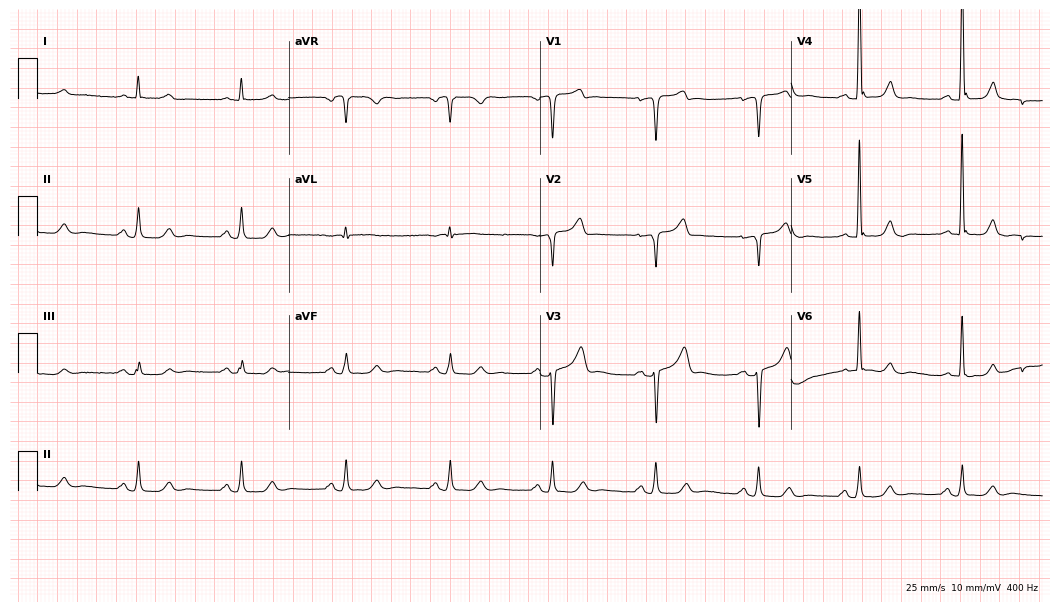
Resting 12-lead electrocardiogram. Patient: a 60-year-old male. Read as a normal ECG.